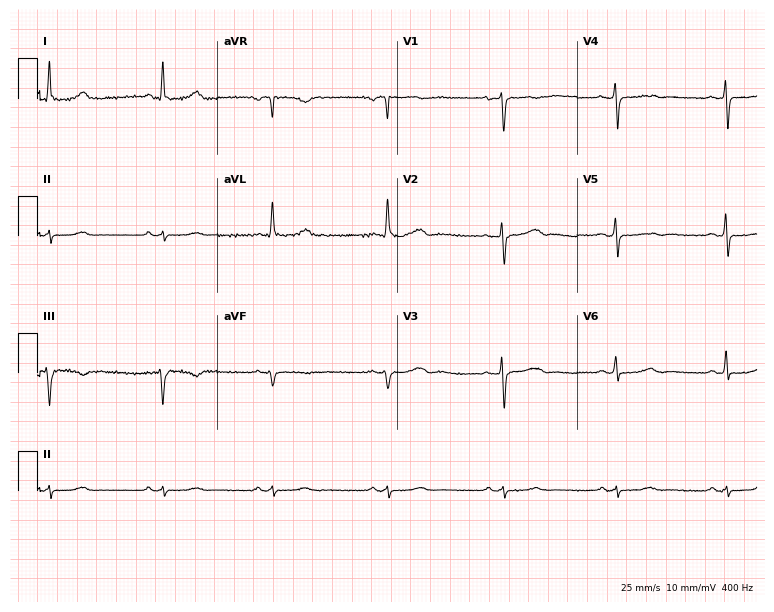
12-lead ECG (7.3-second recording at 400 Hz) from a 57-year-old female. Screened for six findings — first-degree AV block, right bundle branch block, left bundle branch block, sinus bradycardia, atrial fibrillation, sinus tachycardia — none is recorded.